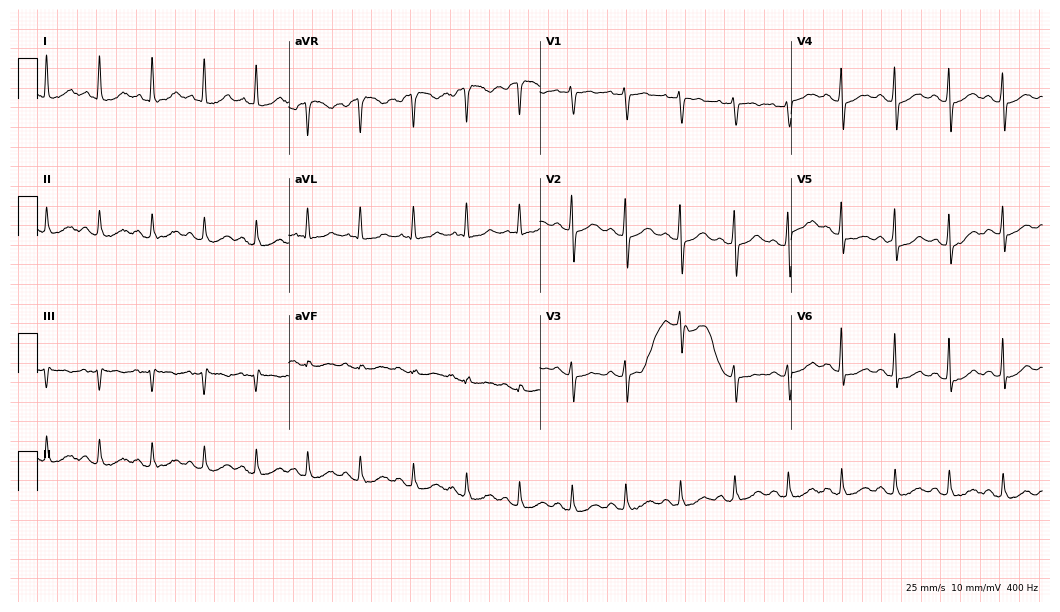
Electrocardiogram, a 73-year-old female patient. Interpretation includes sinus tachycardia (a sinus rate of 100 beats per minute or more).